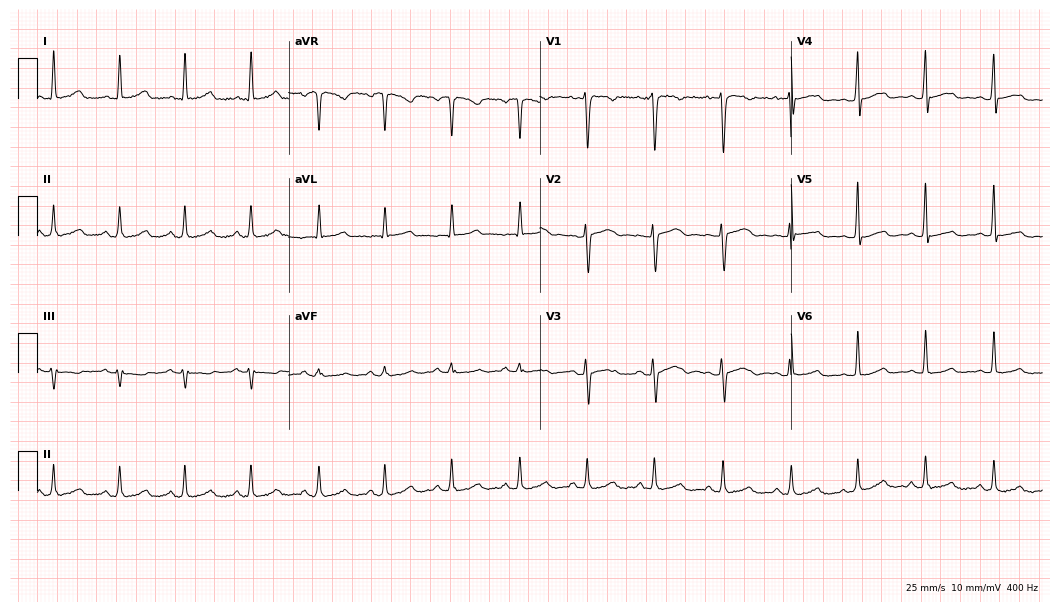
ECG — a 45-year-old female. Labelled as a normal ECG.